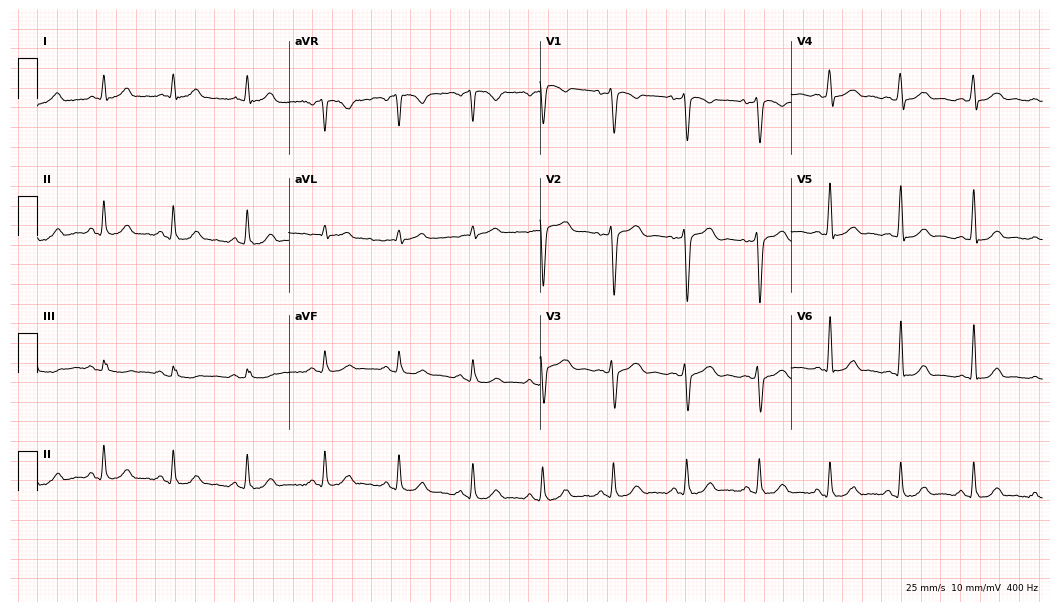
ECG — a 48-year-old male patient. Labelled as a normal ECG.